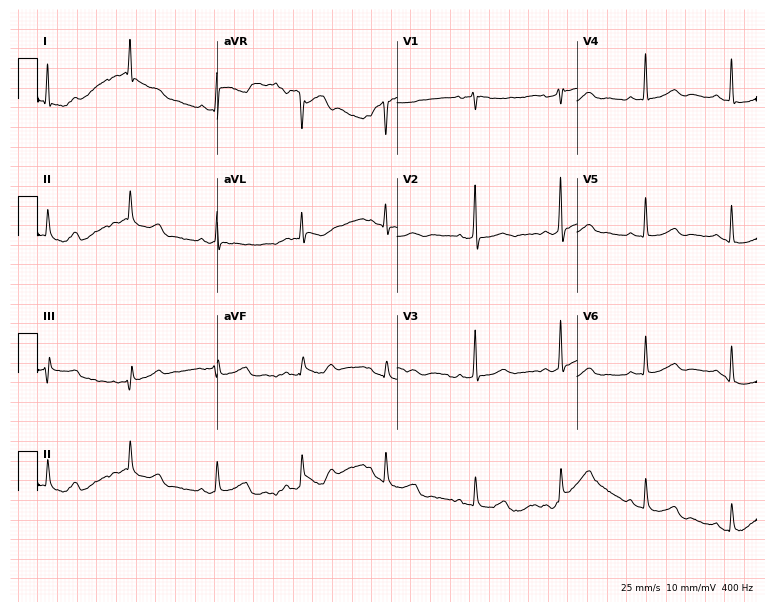
ECG — a 50-year-old woman. Screened for six findings — first-degree AV block, right bundle branch block (RBBB), left bundle branch block (LBBB), sinus bradycardia, atrial fibrillation (AF), sinus tachycardia — none is recorded.